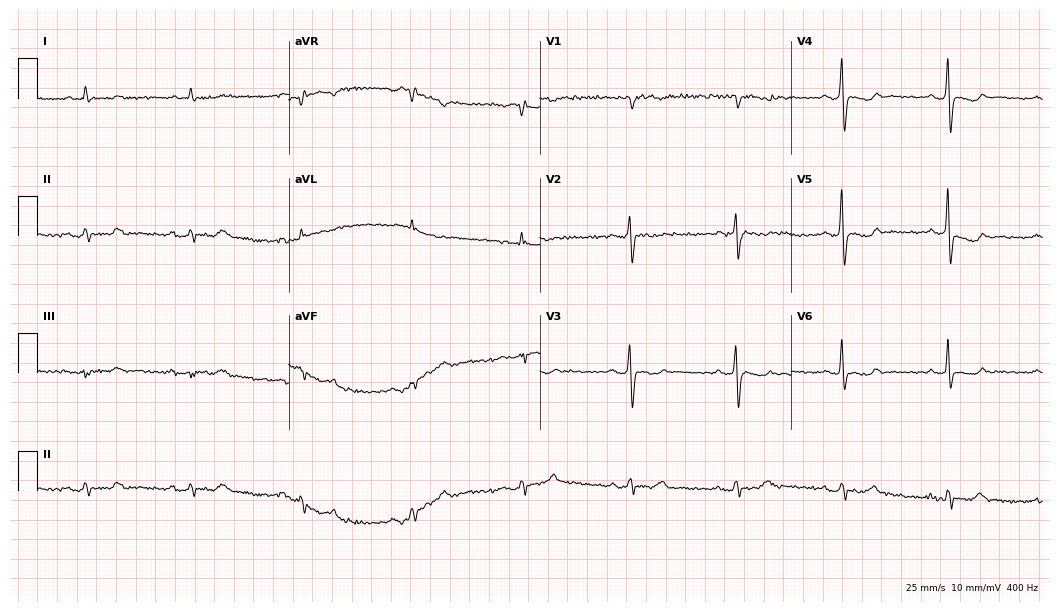
Resting 12-lead electrocardiogram (10.2-second recording at 400 Hz). Patient: a 70-year-old male. None of these six findings is recorded: first-degree AV block, right bundle branch block, left bundle branch block, sinus bradycardia, atrial fibrillation, sinus tachycardia.